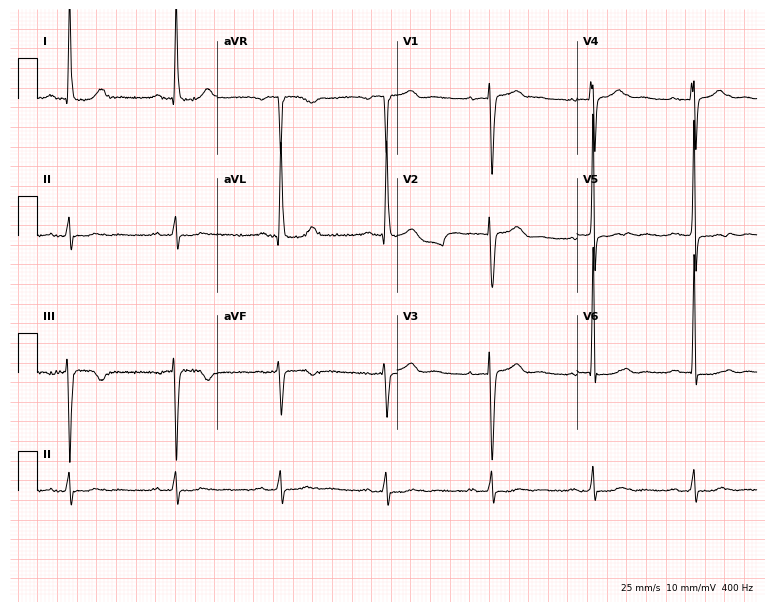
ECG (7.3-second recording at 400 Hz) — an 82-year-old female. Screened for six findings — first-degree AV block, right bundle branch block, left bundle branch block, sinus bradycardia, atrial fibrillation, sinus tachycardia — none is recorded. Other findings, if any, are not listed.